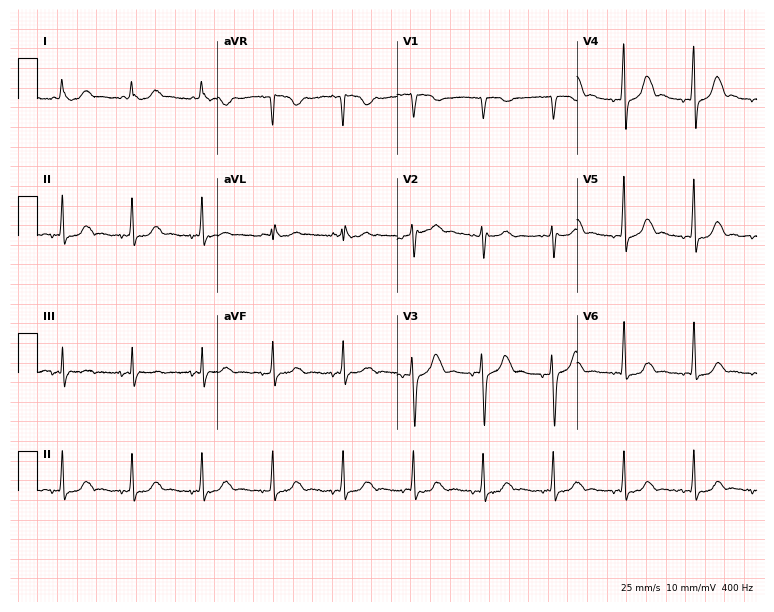
12-lead ECG (7.3-second recording at 400 Hz) from a 40-year-old woman. Labelled as a normal ECG.